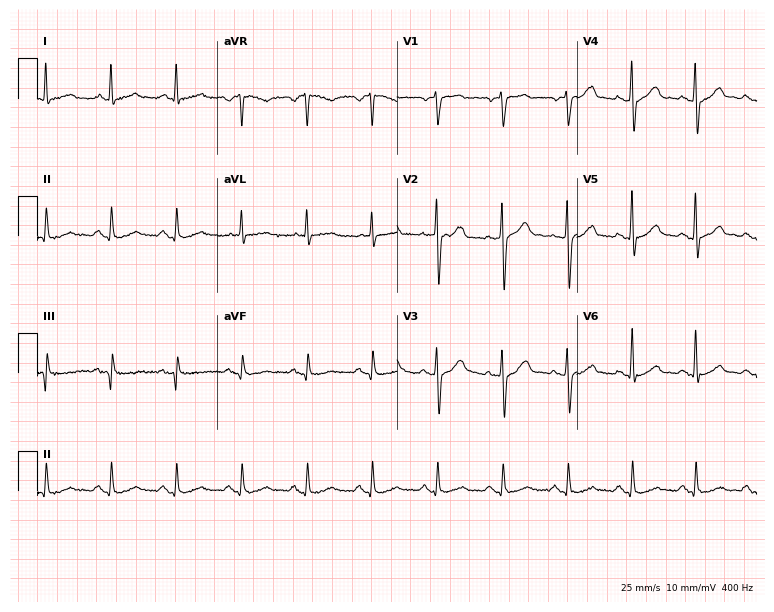
ECG (7.3-second recording at 400 Hz) — a man, 61 years old. Labelled as a normal ECG.